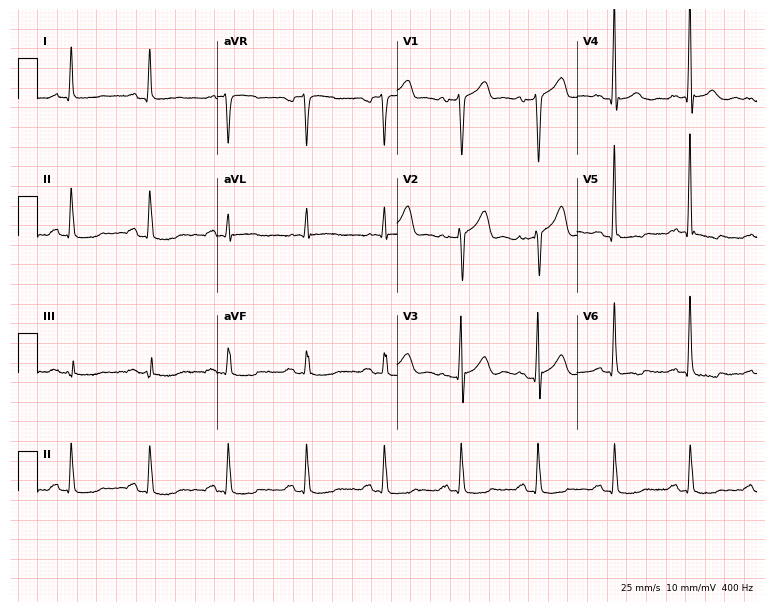
Electrocardiogram, a male patient, 64 years old. Of the six screened findings (first-degree AV block, right bundle branch block, left bundle branch block, sinus bradycardia, atrial fibrillation, sinus tachycardia), none is recorded. Other findings, if any, are not listed.